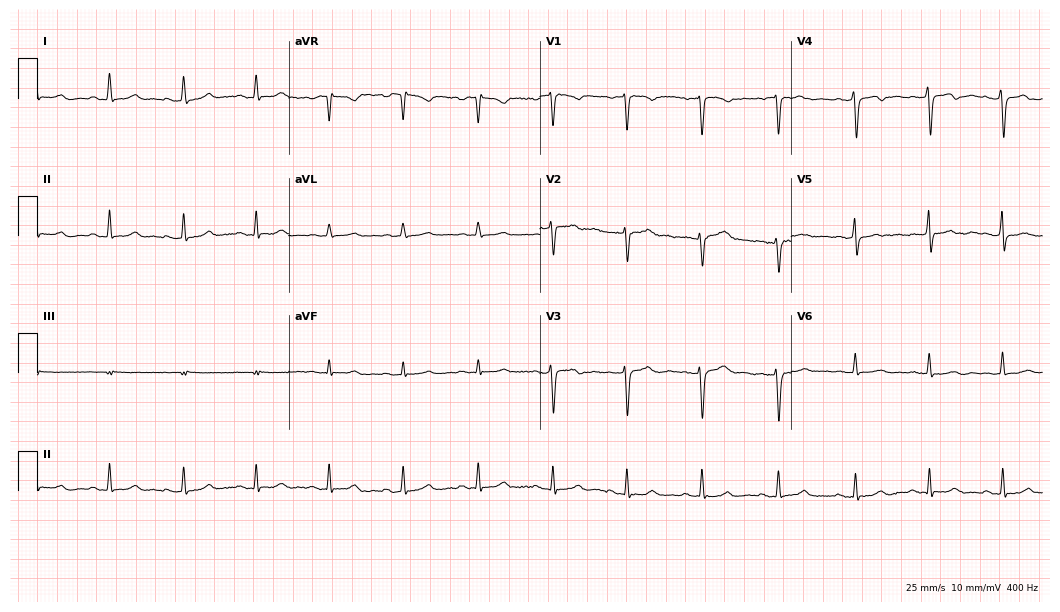
12-lead ECG from a female patient, 51 years old. Labelled as a normal ECG.